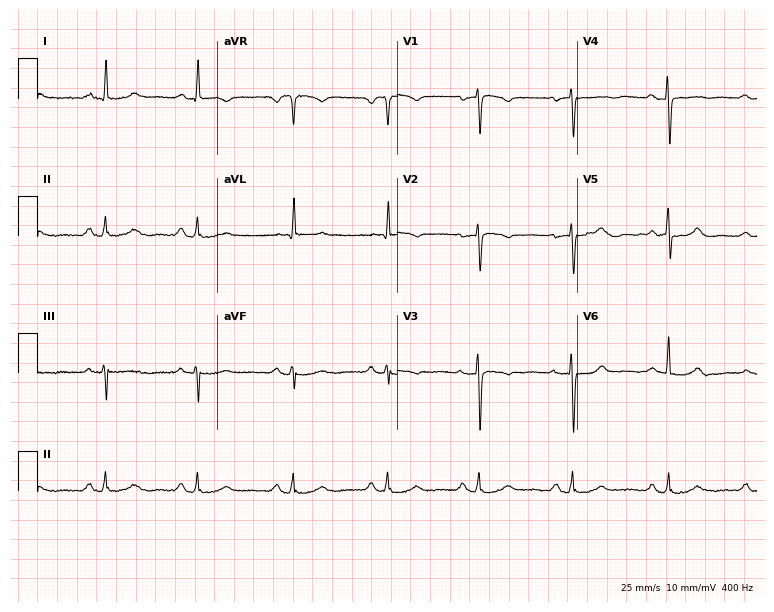
12-lead ECG from a 62-year-old female patient. No first-degree AV block, right bundle branch block (RBBB), left bundle branch block (LBBB), sinus bradycardia, atrial fibrillation (AF) or sinus tachycardia recorded for this tracing.